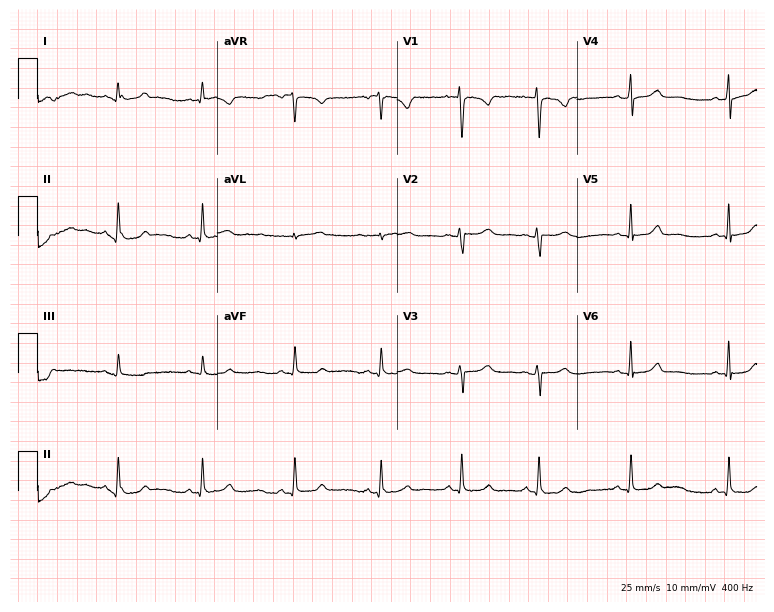
12-lead ECG from a 20-year-old female patient (7.3-second recording at 400 Hz). Recorded interpretation: within normal limits.